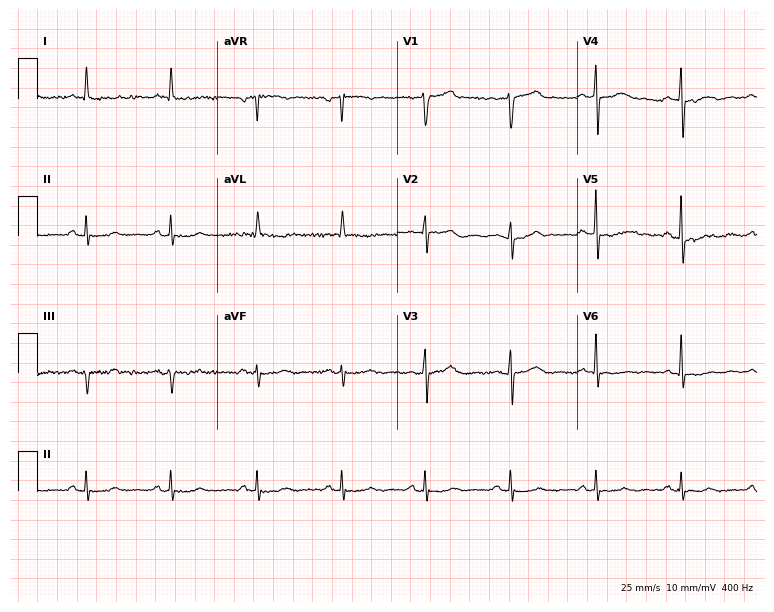
12-lead ECG from a male, 73 years old (7.3-second recording at 400 Hz). No first-degree AV block, right bundle branch block (RBBB), left bundle branch block (LBBB), sinus bradycardia, atrial fibrillation (AF) or sinus tachycardia recorded for this tracing.